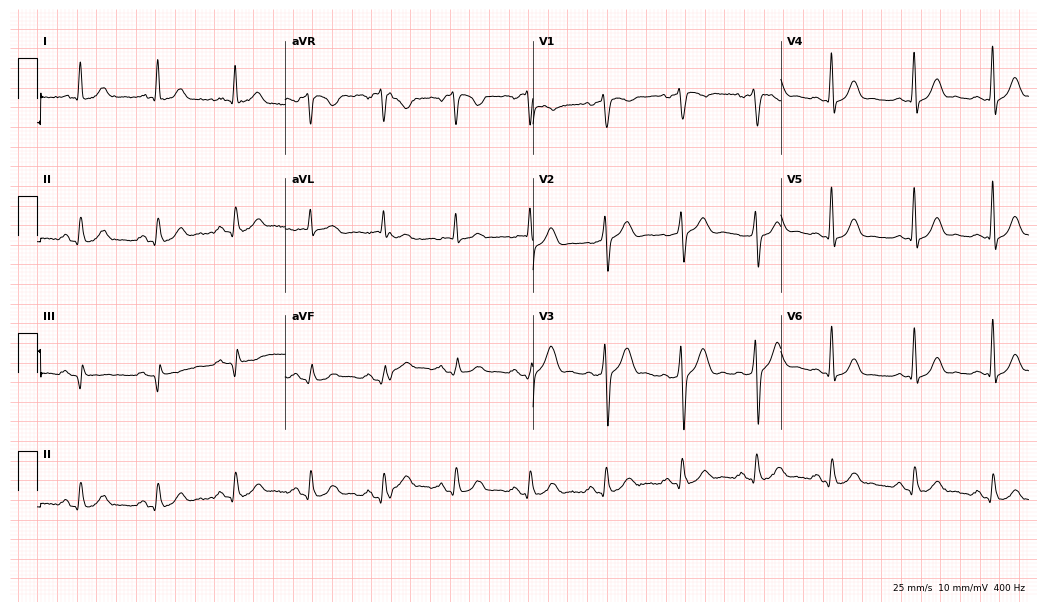
Resting 12-lead electrocardiogram. Patient: a 56-year-old male. None of these six findings is recorded: first-degree AV block, right bundle branch block, left bundle branch block, sinus bradycardia, atrial fibrillation, sinus tachycardia.